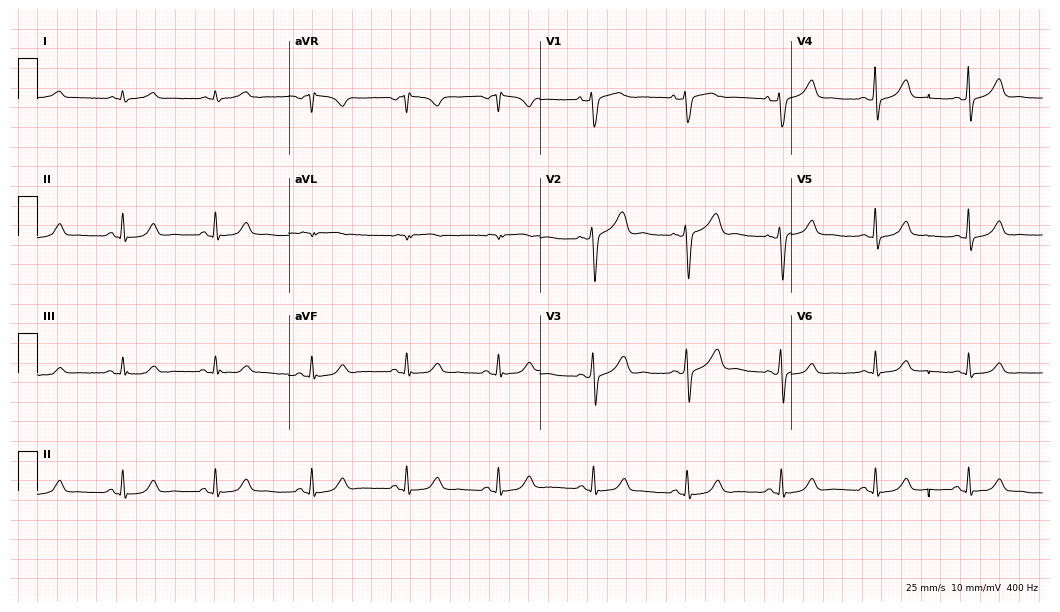
12-lead ECG from a female patient, 59 years old (10.2-second recording at 400 Hz). Recorded interpretation: within normal limits.